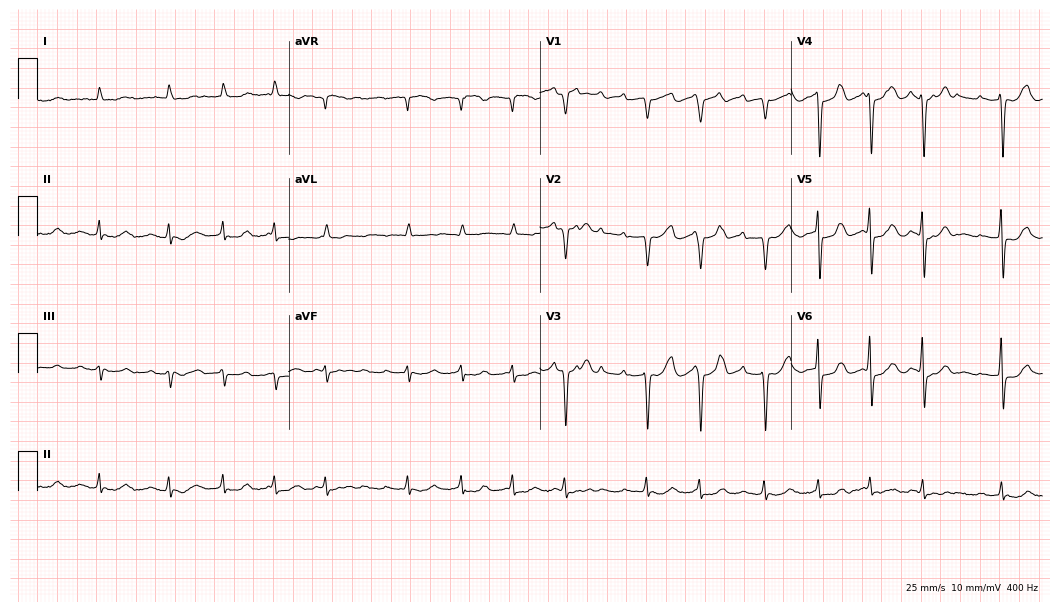
12-lead ECG from a 79-year-old woman. No first-degree AV block, right bundle branch block, left bundle branch block, sinus bradycardia, atrial fibrillation or sinus tachycardia recorded for this tracing.